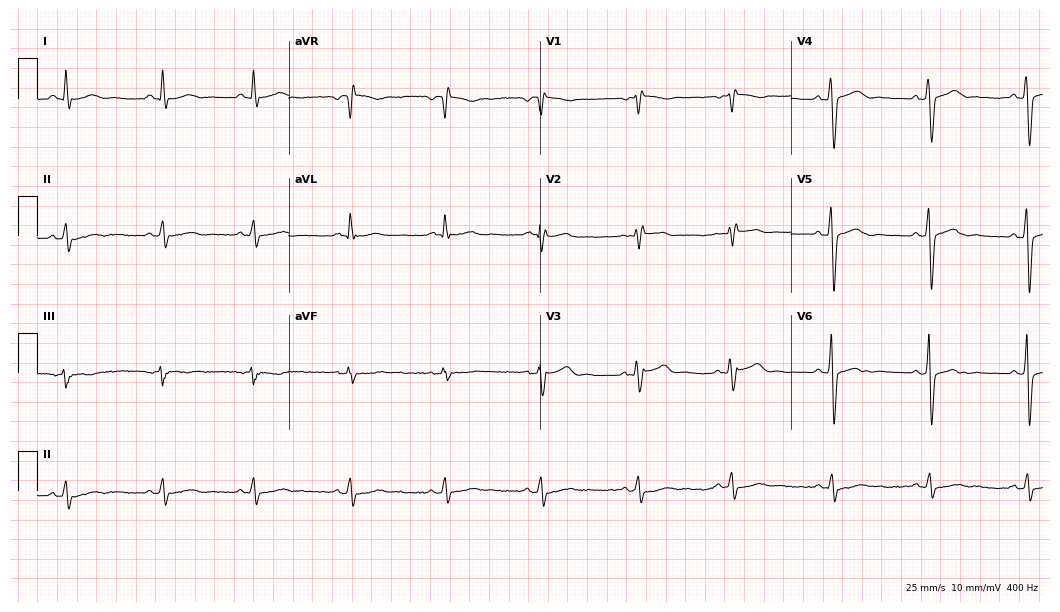
Electrocardiogram (10.2-second recording at 400 Hz), a female patient, 42 years old. Of the six screened findings (first-degree AV block, right bundle branch block, left bundle branch block, sinus bradycardia, atrial fibrillation, sinus tachycardia), none is recorded.